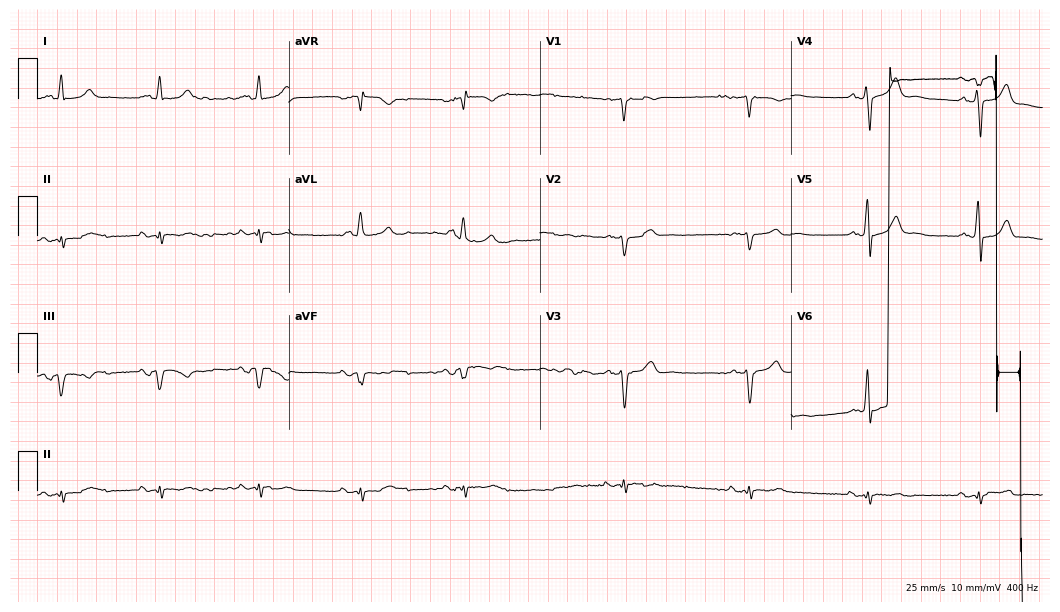
12-lead ECG from a male patient, 62 years old. Screened for six findings — first-degree AV block, right bundle branch block, left bundle branch block, sinus bradycardia, atrial fibrillation, sinus tachycardia — none is recorded. Findings outside these six are not listed.